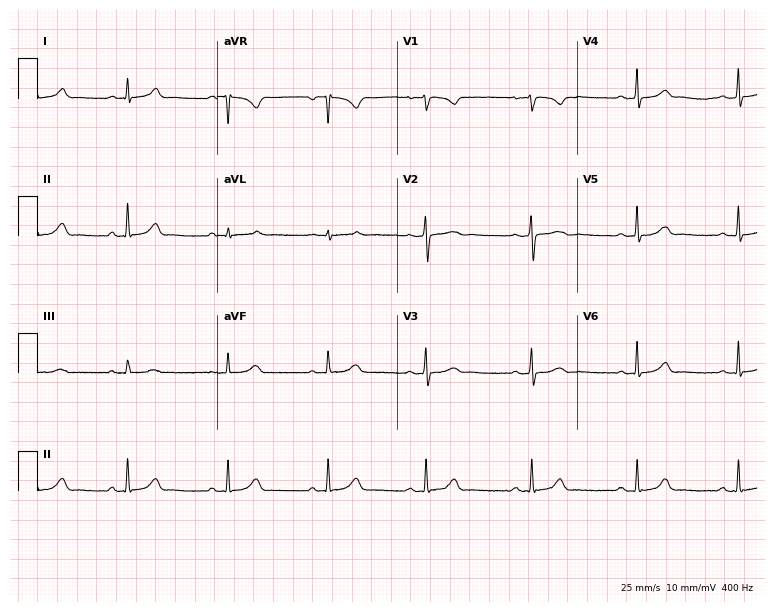
Standard 12-lead ECG recorded from a 24-year-old female. Read as a normal ECG.